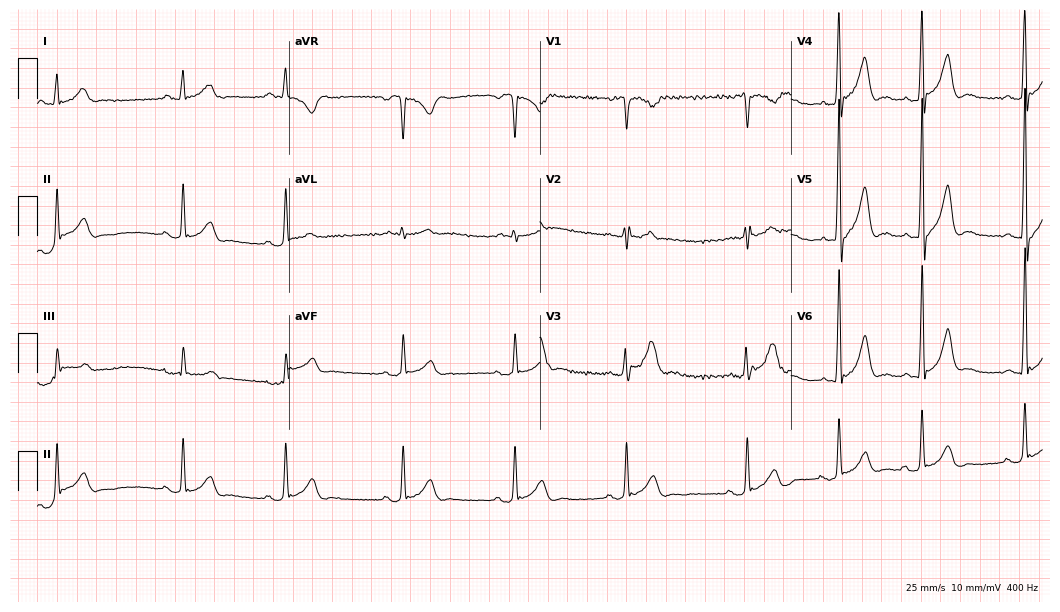
Electrocardiogram (10.2-second recording at 400 Hz), a man, 26 years old. Of the six screened findings (first-degree AV block, right bundle branch block, left bundle branch block, sinus bradycardia, atrial fibrillation, sinus tachycardia), none is recorded. Findings outside these six are not listed.